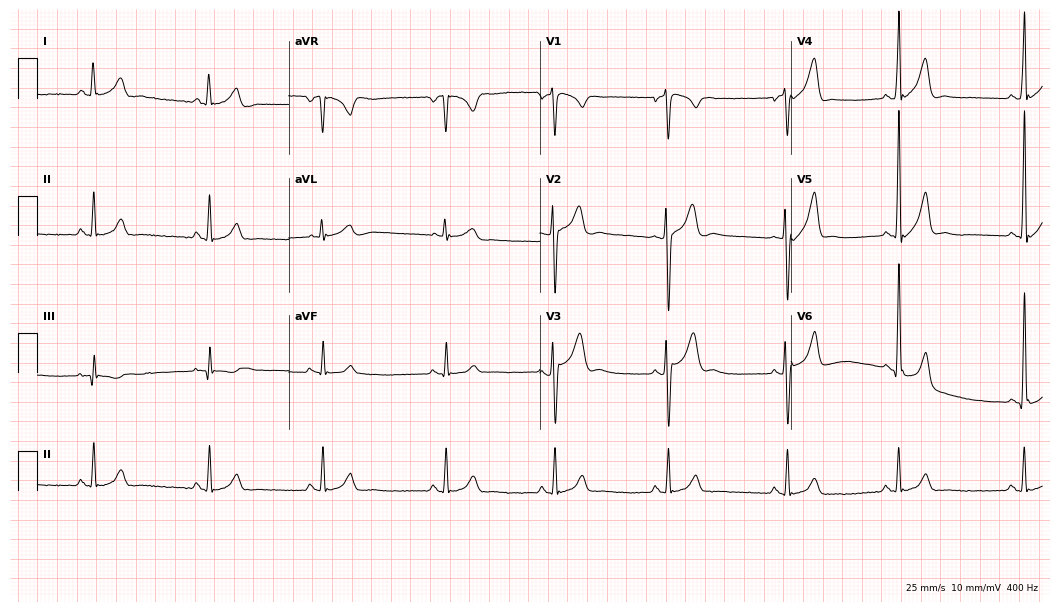
12-lead ECG from a 22-year-old man. Recorded interpretation: within normal limits.